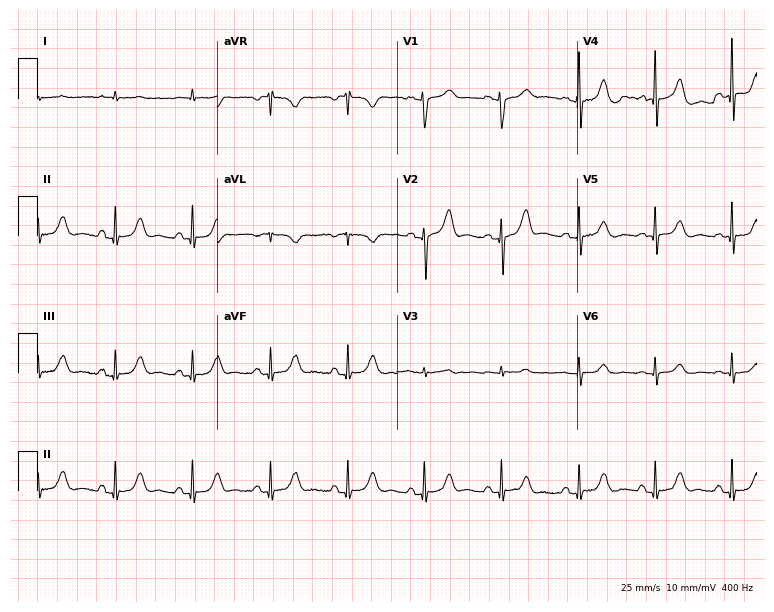
Electrocardiogram (7.3-second recording at 400 Hz), a male, 82 years old. Of the six screened findings (first-degree AV block, right bundle branch block (RBBB), left bundle branch block (LBBB), sinus bradycardia, atrial fibrillation (AF), sinus tachycardia), none is recorded. Findings outside these six are not listed.